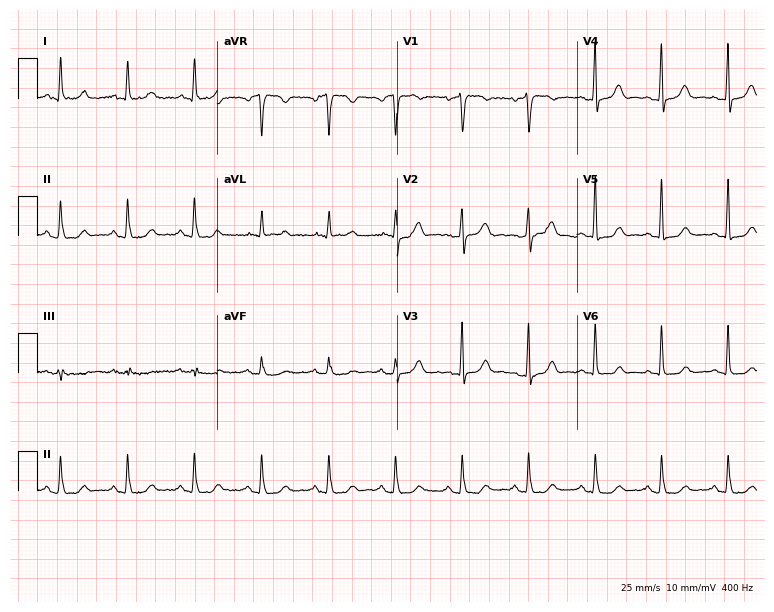
ECG (7.3-second recording at 400 Hz) — a 66-year-old female. Screened for six findings — first-degree AV block, right bundle branch block, left bundle branch block, sinus bradycardia, atrial fibrillation, sinus tachycardia — none is recorded. Findings outside these six are not listed.